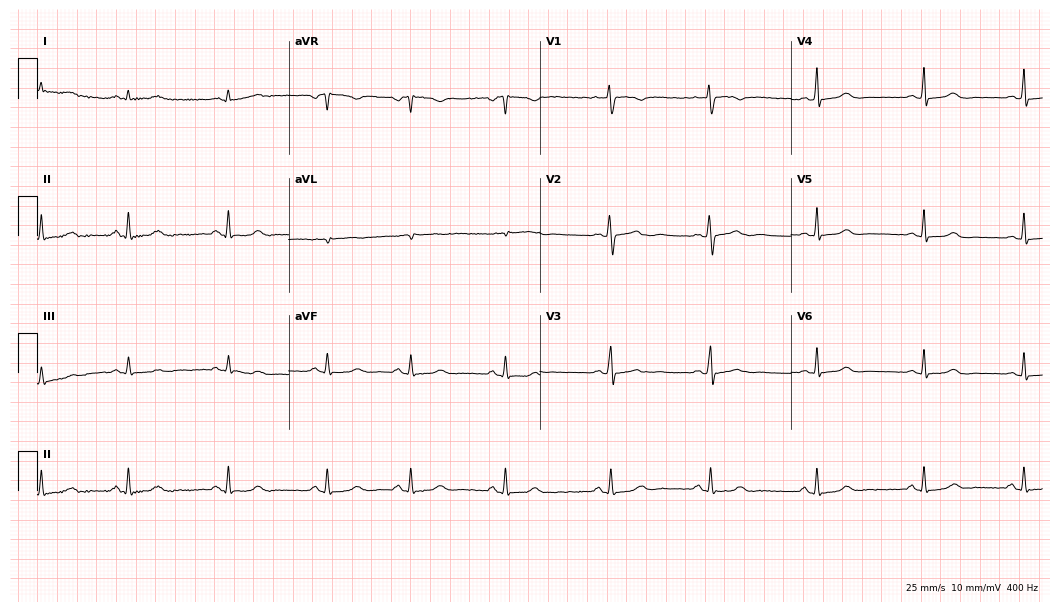
Electrocardiogram, a 23-year-old female patient. Overall reading on record: normal ECG.